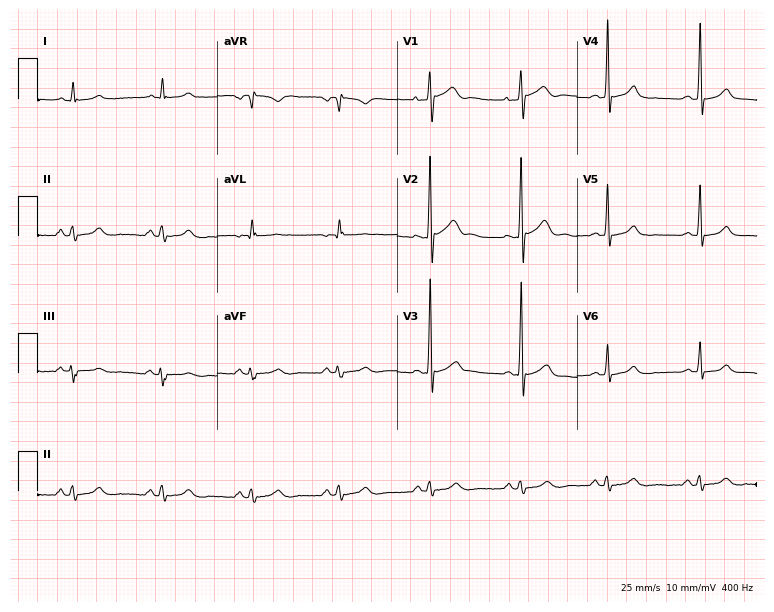
Resting 12-lead electrocardiogram (7.3-second recording at 400 Hz). Patient: a 22-year-old male. None of these six findings is recorded: first-degree AV block, right bundle branch block, left bundle branch block, sinus bradycardia, atrial fibrillation, sinus tachycardia. Findings outside these six are not listed.